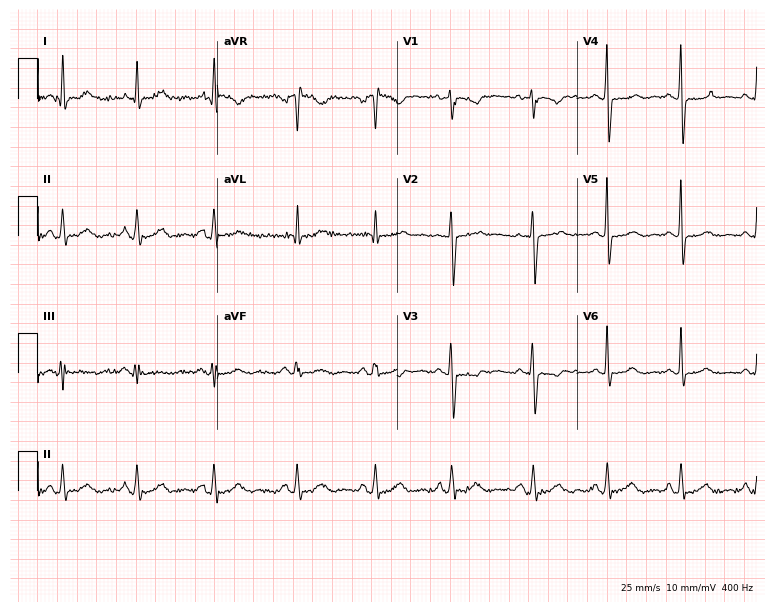
12-lead ECG from a 37-year-old female patient. Labelled as a normal ECG.